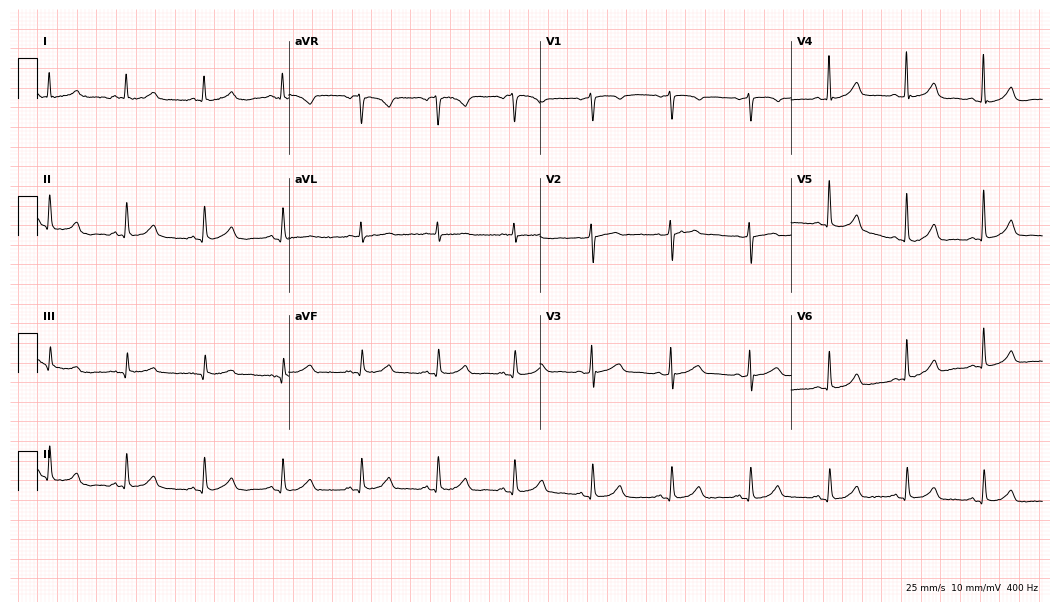
Standard 12-lead ECG recorded from a female, 80 years old (10.2-second recording at 400 Hz). Read as a normal ECG.